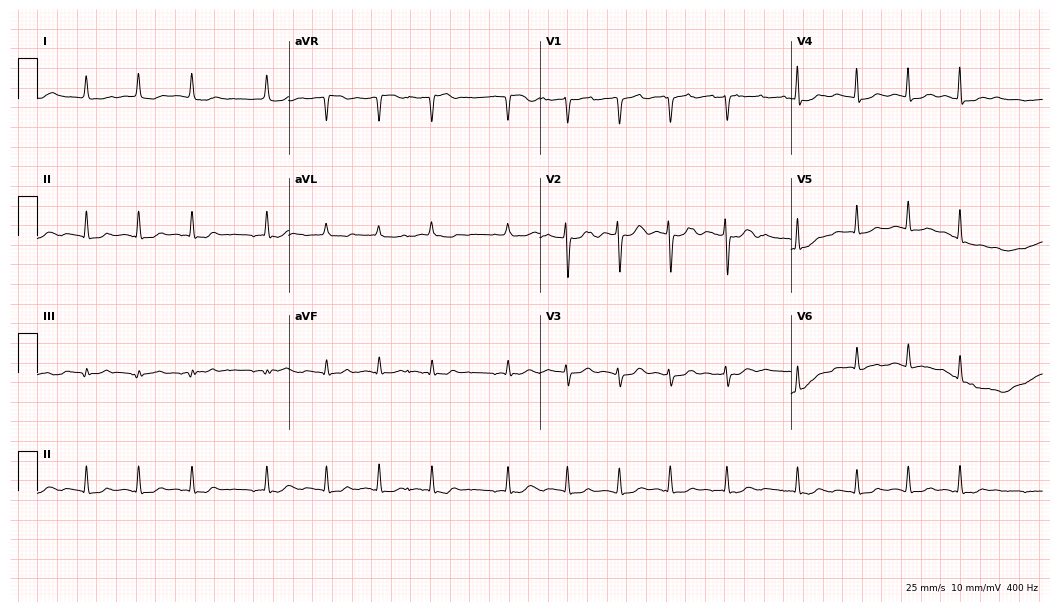
12-lead ECG from a female, 82 years old. Shows atrial fibrillation (AF).